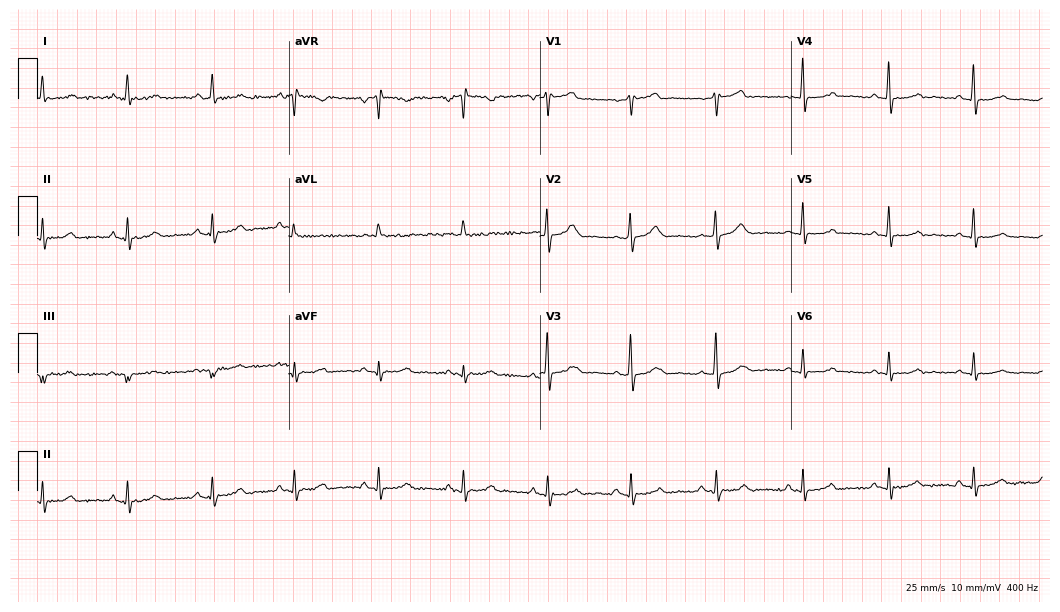
Standard 12-lead ECG recorded from a 65-year-old female patient. None of these six findings is recorded: first-degree AV block, right bundle branch block (RBBB), left bundle branch block (LBBB), sinus bradycardia, atrial fibrillation (AF), sinus tachycardia.